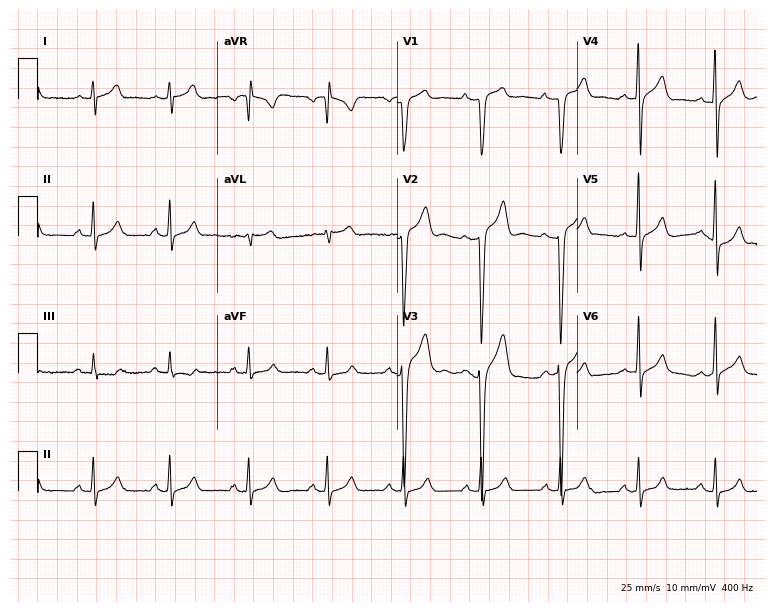
12-lead ECG from a 19-year-old male patient. Recorded interpretation: within normal limits.